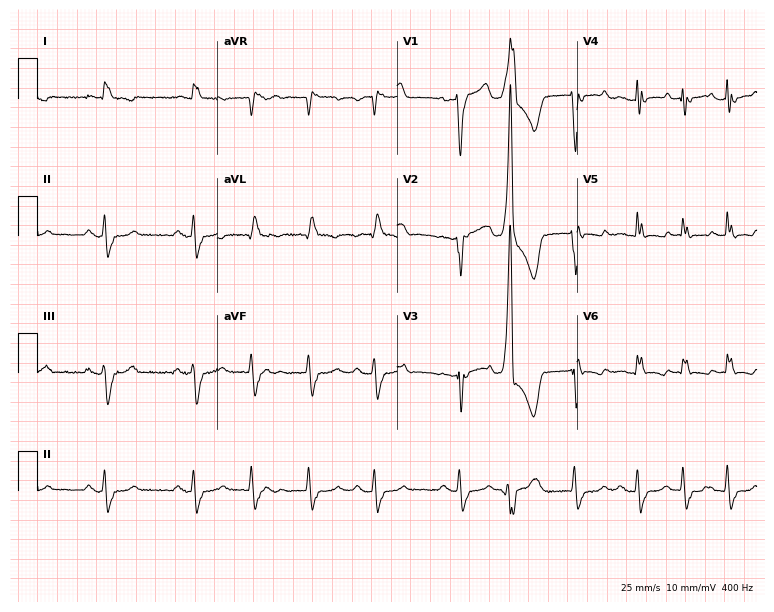
Electrocardiogram, an 82-year-old male. Of the six screened findings (first-degree AV block, right bundle branch block (RBBB), left bundle branch block (LBBB), sinus bradycardia, atrial fibrillation (AF), sinus tachycardia), none is recorded.